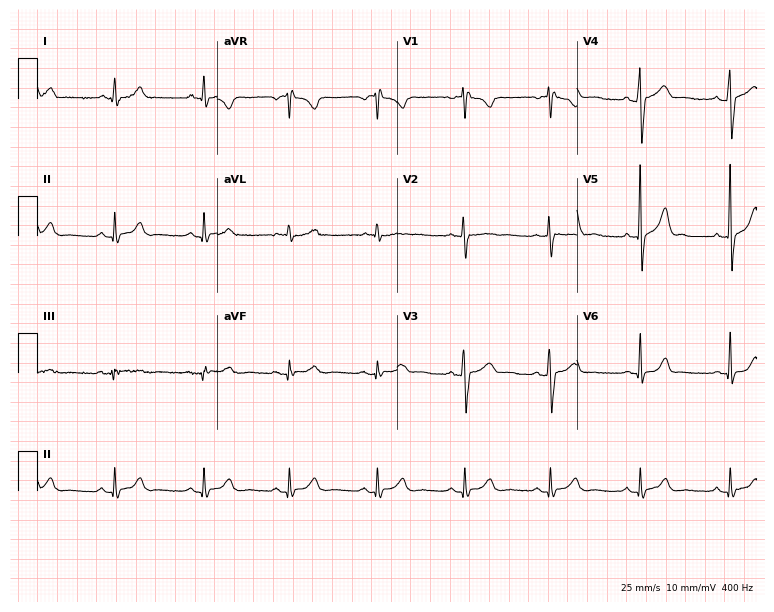
ECG (7.3-second recording at 400 Hz) — a 42-year-old male. Labelled as a normal ECG.